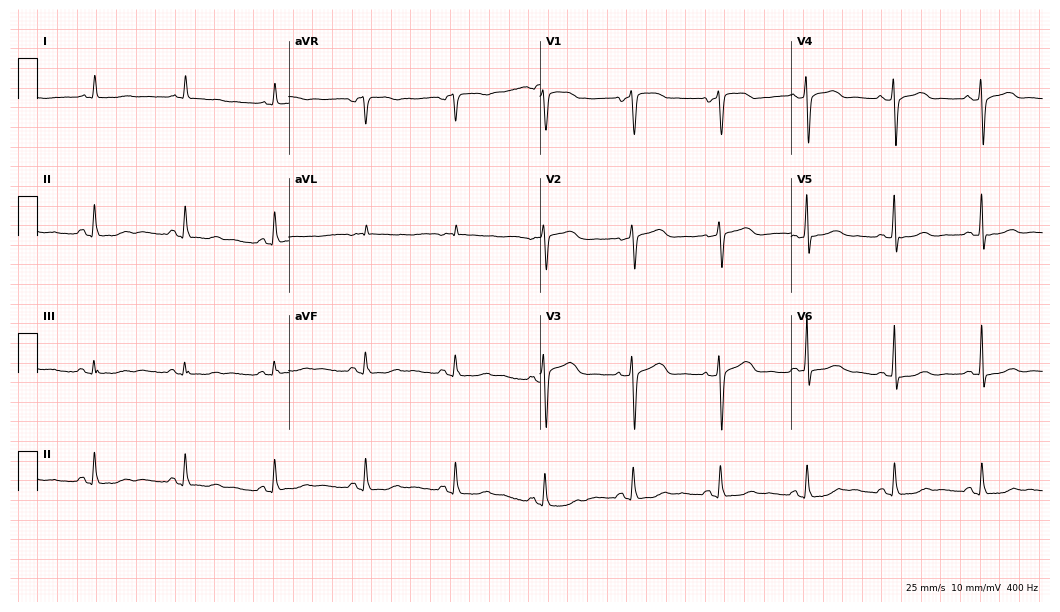
Resting 12-lead electrocardiogram (10.2-second recording at 400 Hz). Patient: a female, 75 years old. None of these six findings is recorded: first-degree AV block, right bundle branch block, left bundle branch block, sinus bradycardia, atrial fibrillation, sinus tachycardia.